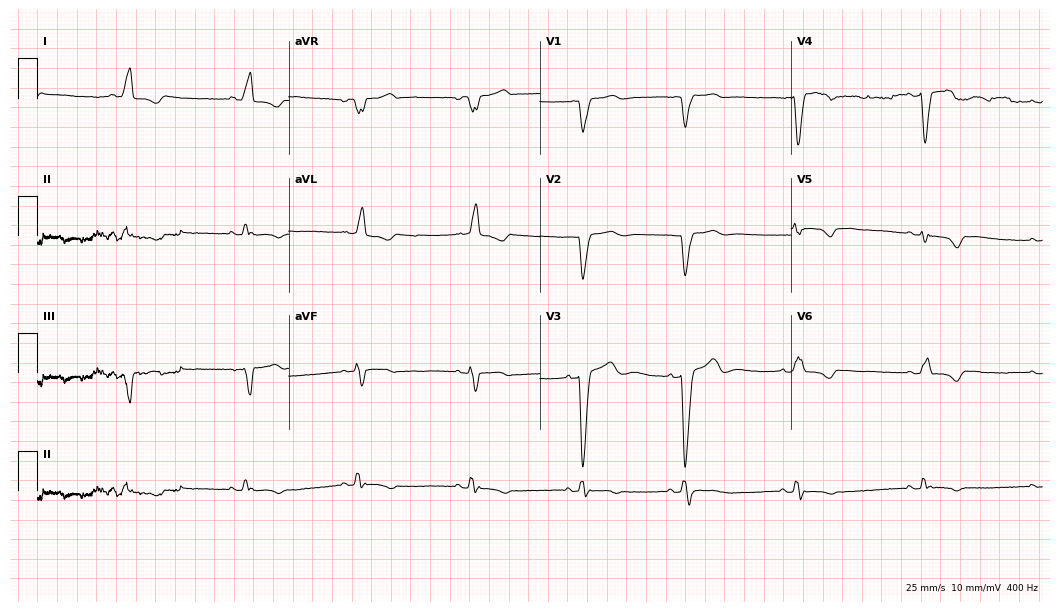
ECG (10.2-second recording at 400 Hz) — a 49-year-old female patient. Findings include left bundle branch block (LBBB).